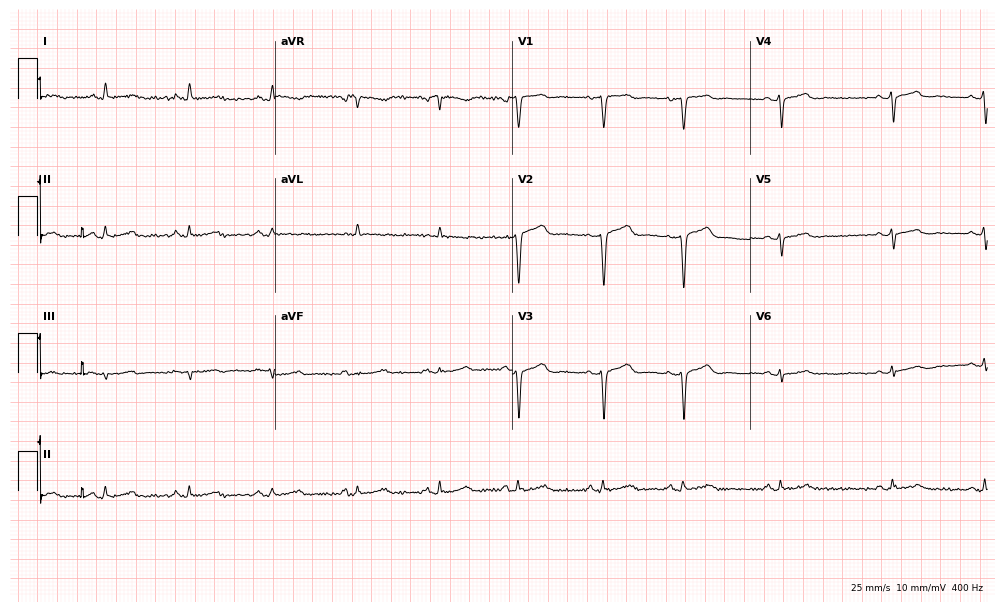
Resting 12-lead electrocardiogram (9.7-second recording at 400 Hz). Patient: a male, 35 years old. None of these six findings is recorded: first-degree AV block, right bundle branch block, left bundle branch block, sinus bradycardia, atrial fibrillation, sinus tachycardia. Other findings, if any, are not listed.